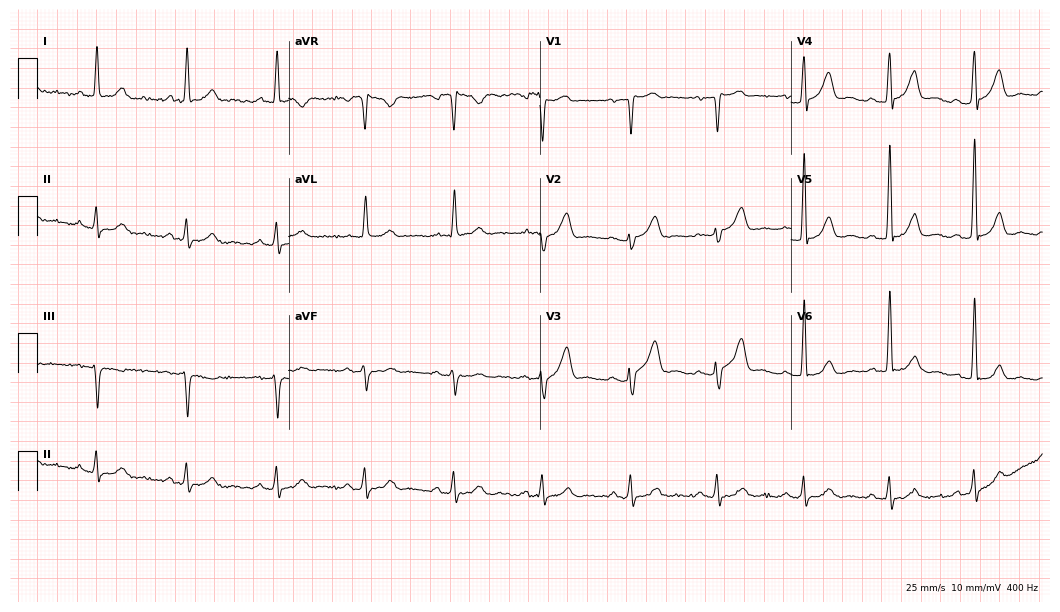
Standard 12-lead ECG recorded from a male patient, 64 years old. Read as a normal ECG.